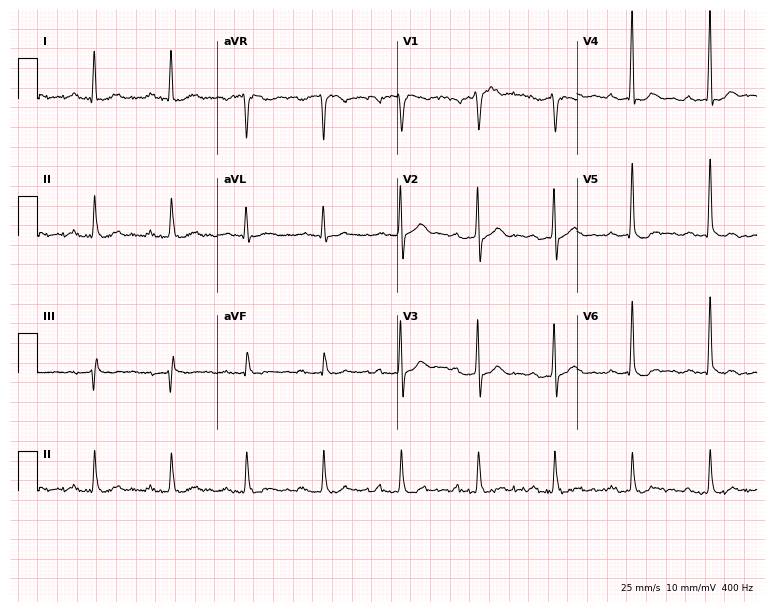
Resting 12-lead electrocardiogram. Patient: a male, 56 years old. The tracing shows first-degree AV block.